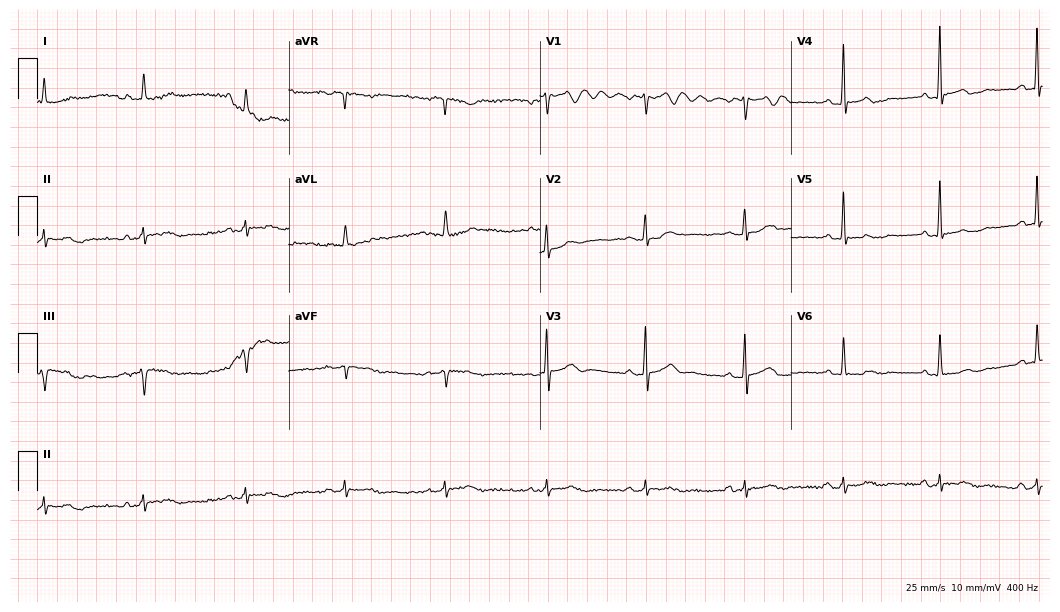
ECG (10.2-second recording at 400 Hz) — a female, 74 years old. Screened for six findings — first-degree AV block, right bundle branch block, left bundle branch block, sinus bradycardia, atrial fibrillation, sinus tachycardia — none is recorded. Other findings, if any, are not listed.